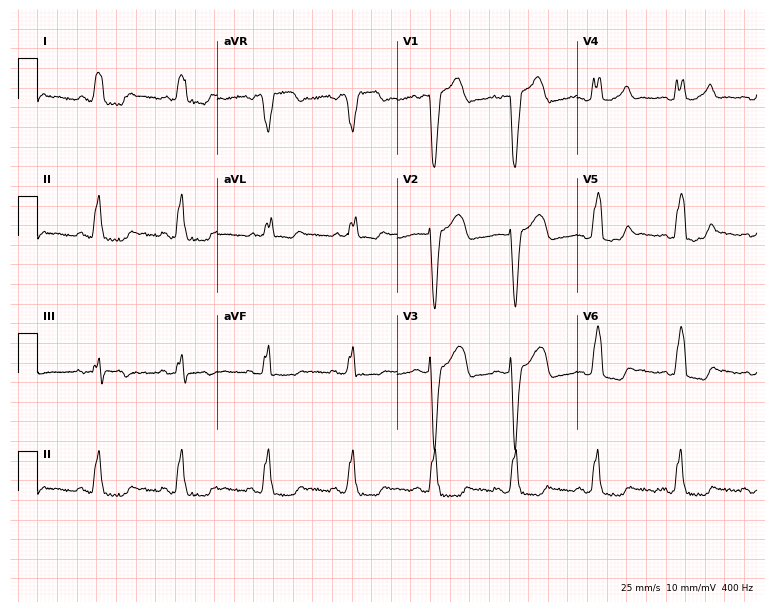
12-lead ECG from a 62-year-old man. Screened for six findings — first-degree AV block, right bundle branch block, left bundle branch block, sinus bradycardia, atrial fibrillation, sinus tachycardia — none is recorded. Other findings, if any, are not listed.